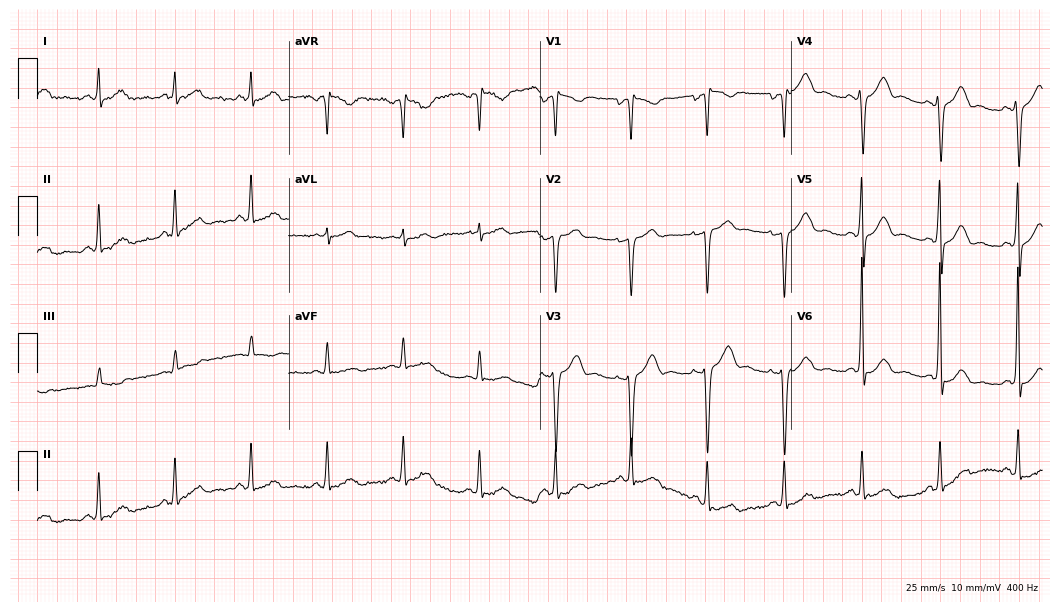
Resting 12-lead electrocardiogram. Patient: a 58-year-old male. Read as a normal ECG.